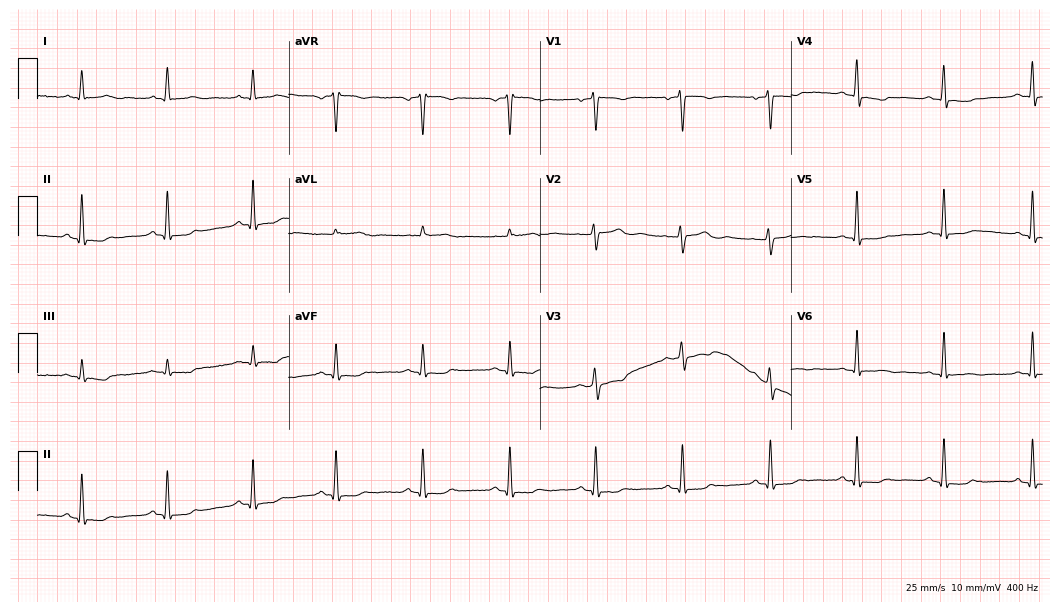
12-lead ECG from a 45-year-old woman. No first-degree AV block, right bundle branch block, left bundle branch block, sinus bradycardia, atrial fibrillation or sinus tachycardia recorded for this tracing.